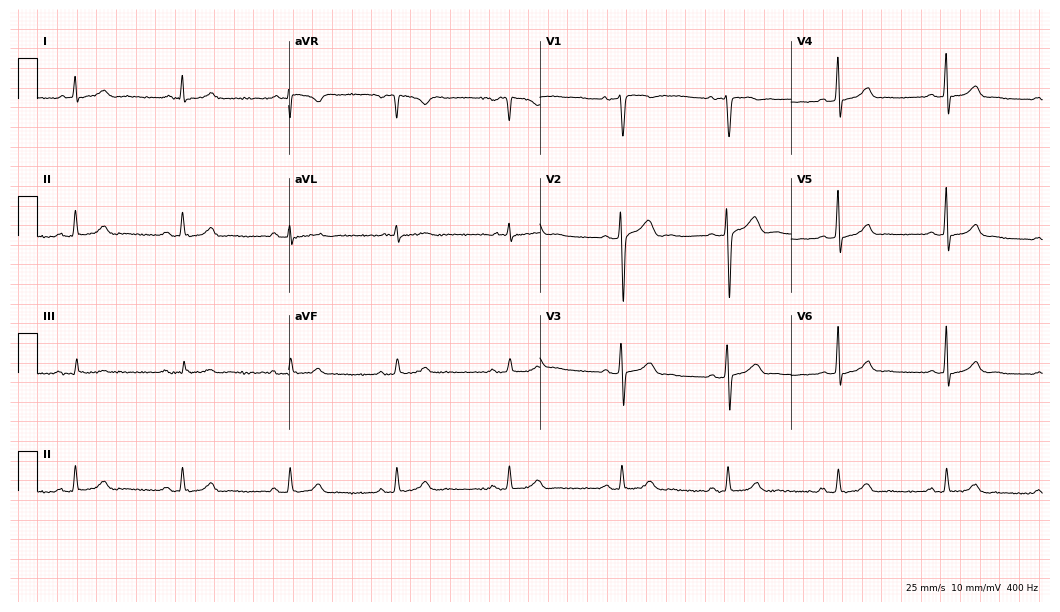
ECG — a 32-year-old male. Labelled as a normal ECG.